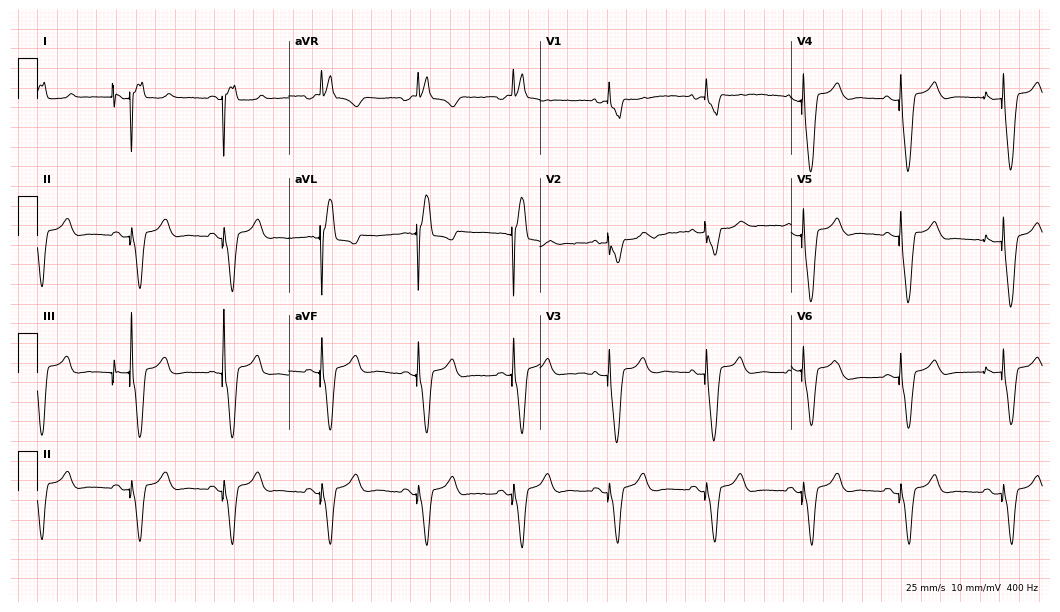
12-lead ECG (10.2-second recording at 400 Hz) from a 43-year-old female. Screened for six findings — first-degree AV block, right bundle branch block (RBBB), left bundle branch block (LBBB), sinus bradycardia, atrial fibrillation (AF), sinus tachycardia — none is recorded.